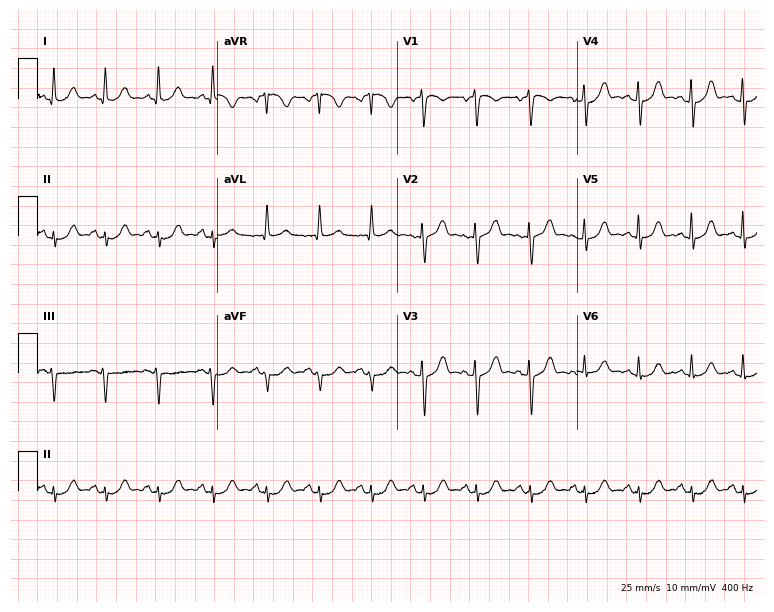
Resting 12-lead electrocardiogram (7.3-second recording at 400 Hz). Patient: a 62-year-old woman. The tracing shows sinus tachycardia (a sinus rate of 100 beats per minute or more).